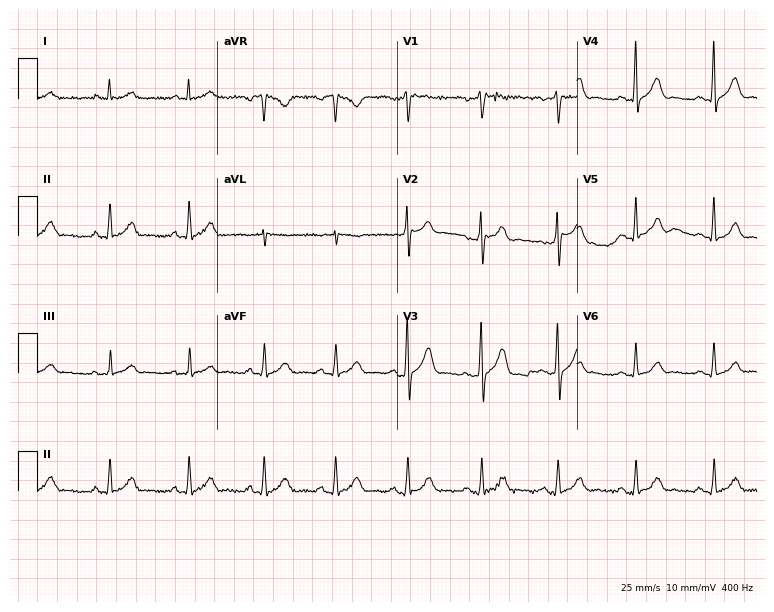
Standard 12-lead ECG recorded from a man, 44 years old (7.3-second recording at 400 Hz). Read as a normal ECG.